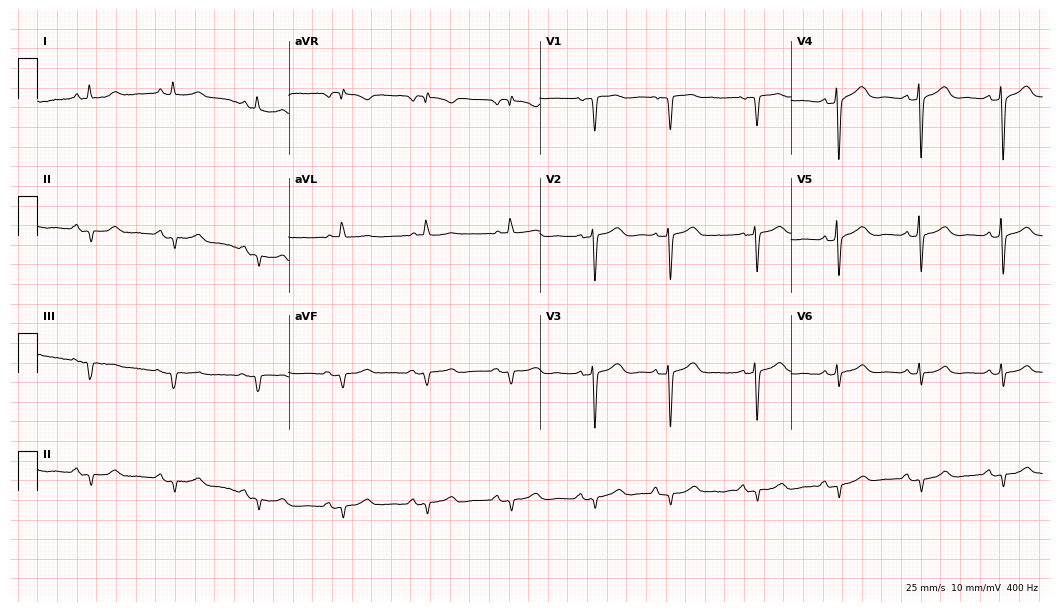
Resting 12-lead electrocardiogram. Patient: a 63-year-old female. None of these six findings is recorded: first-degree AV block, right bundle branch block (RBBB), left bundle branch block (LBBB), sinus bradycardia, atrial fibrillation (AF), sinus tachycardia.